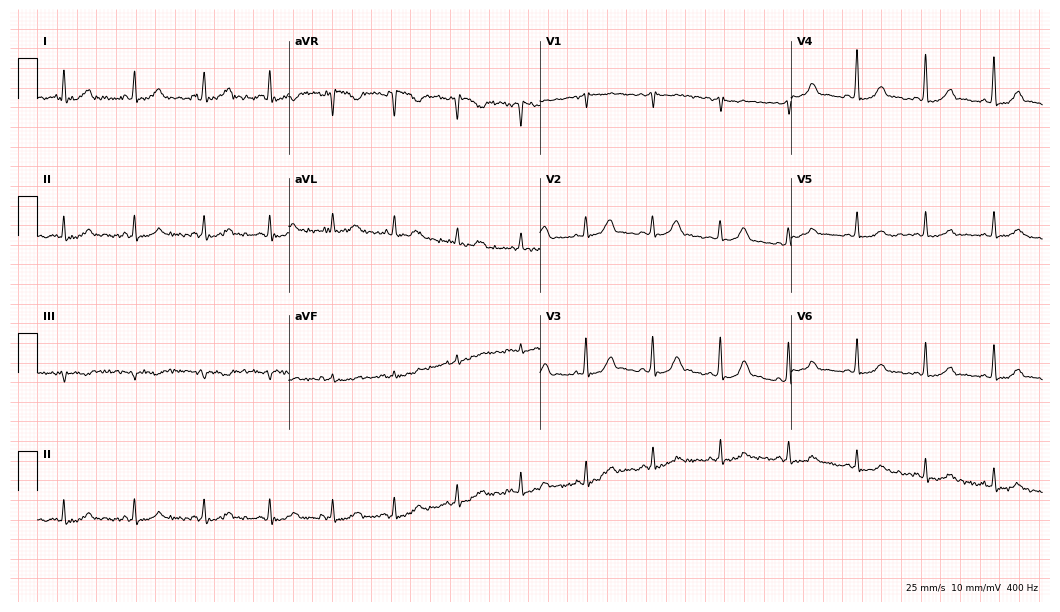
Resting 12-lead electrocardiogram. Patient: a 51-year-old woman. Read as a normal ECG.